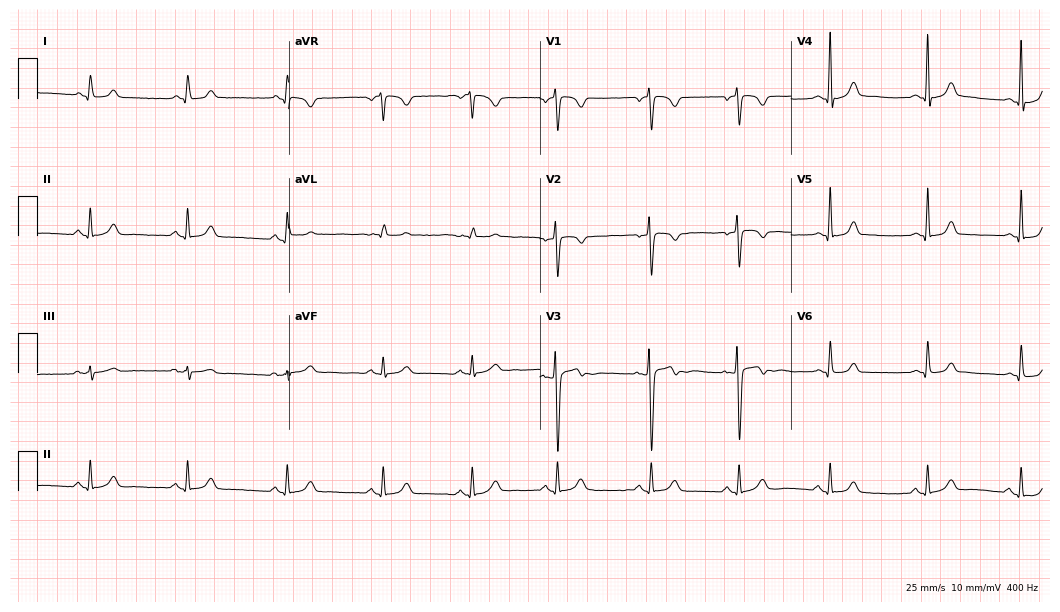
Standard 12-lead ECG recorded from a 24-year-old female (10.2-second recording at 400 Hz). Read as a normal ECG.